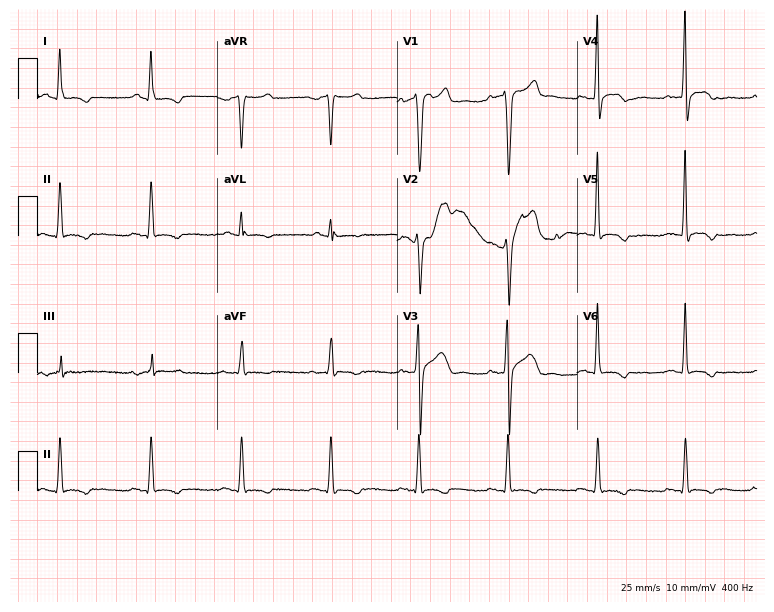
Electrocardiogram, a male patient, 49 years old. Of the six screened findings (first-degree AV block, right bundle branch block, left bundle branch block, sinus bradycardia, atrial fibrillation, sinus tachycardia), none is recorded.